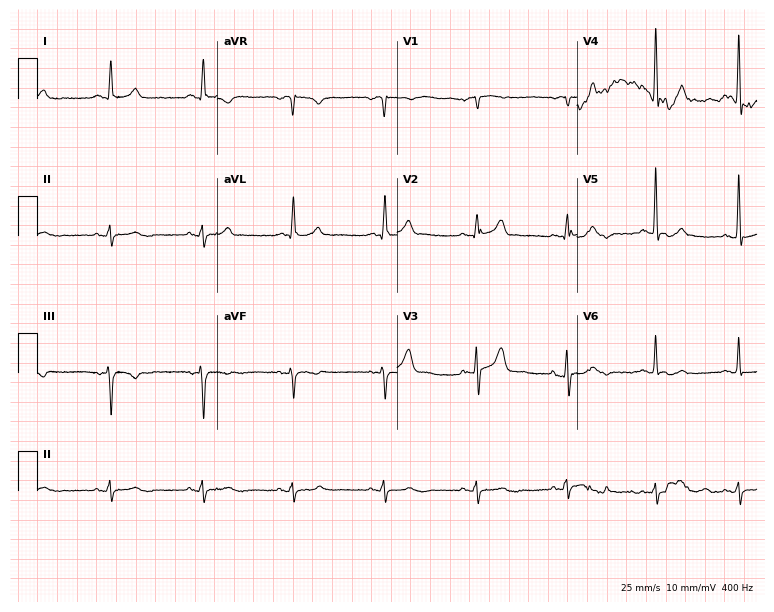
Standard 12-lead ECG recorded from a male patient, 69 years old (7.3-second recording at 400 Hz). None of these six findings is recorded: first-degree AV block, right bundle branch block (RBBB), left bundle branch block (LBBB), sinus bradycardia, atrial fibrillation (AF), sinus tachycardia.